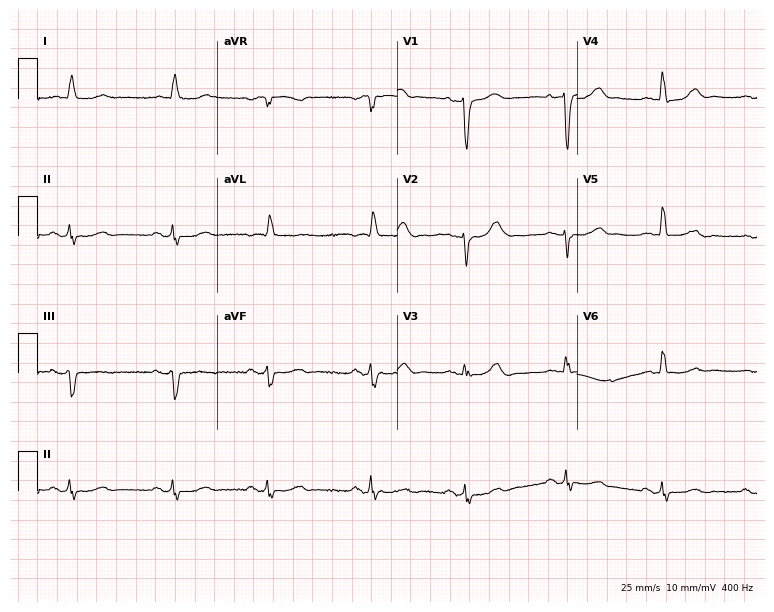
ECG — an 85-year-old male patient. Screened for six findings — first-degree AV block, right bundle branch block (RBBB), left bundle branch block (LBBB), sinus bradycardia, atrial fibrillation (AF), sinus tachycardia — none is recorded. Other findings, if any, are not listed.